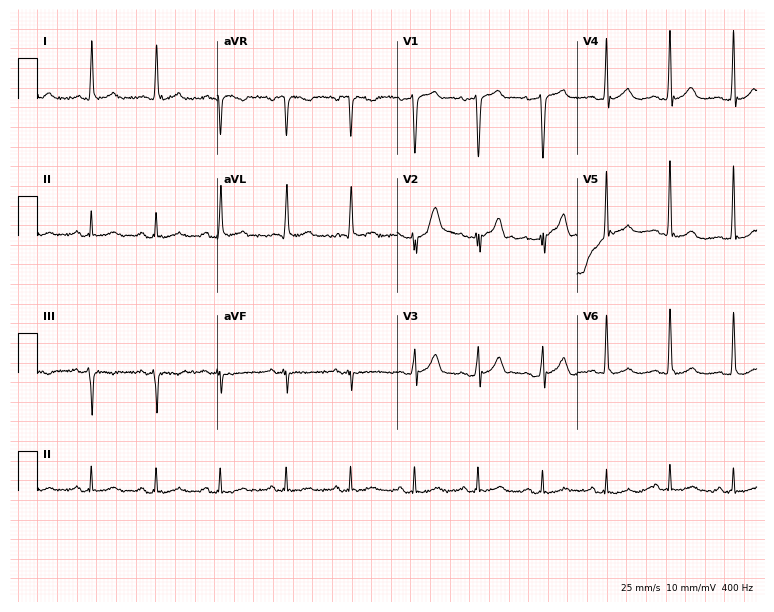
12-lead ECG from a 63-year-old male patient. No first-degree AV block, right bundle branch block, left bundle branch block, sinus bradycardia, atrial fibrillation or sinus tachycardia recorded for this tracing. Only these six findings were labelled.